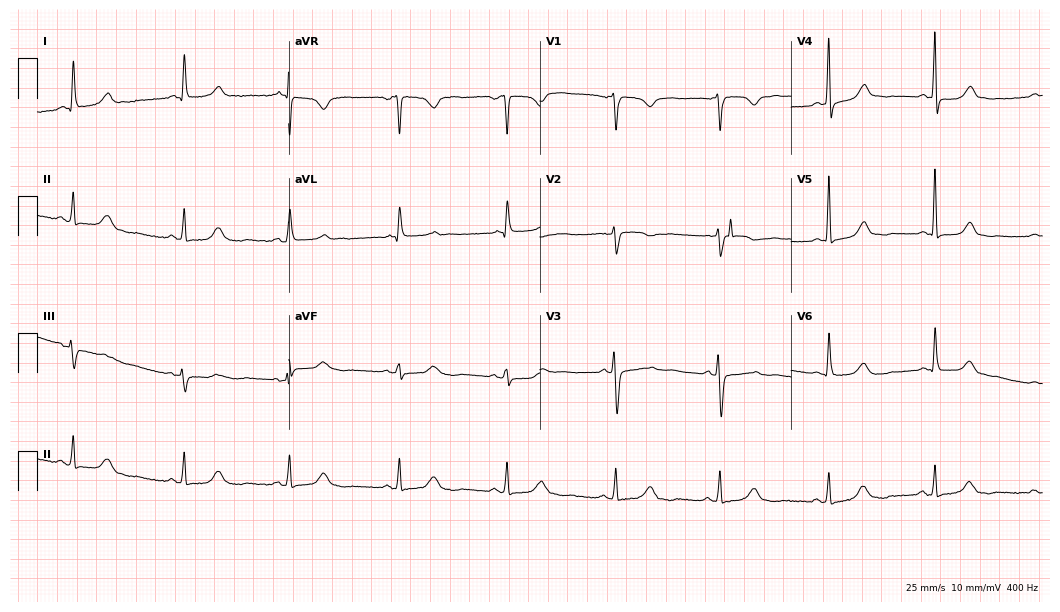
Electrocardiogram, a woman, 63 years old. Overall reading on record: normal ECG.